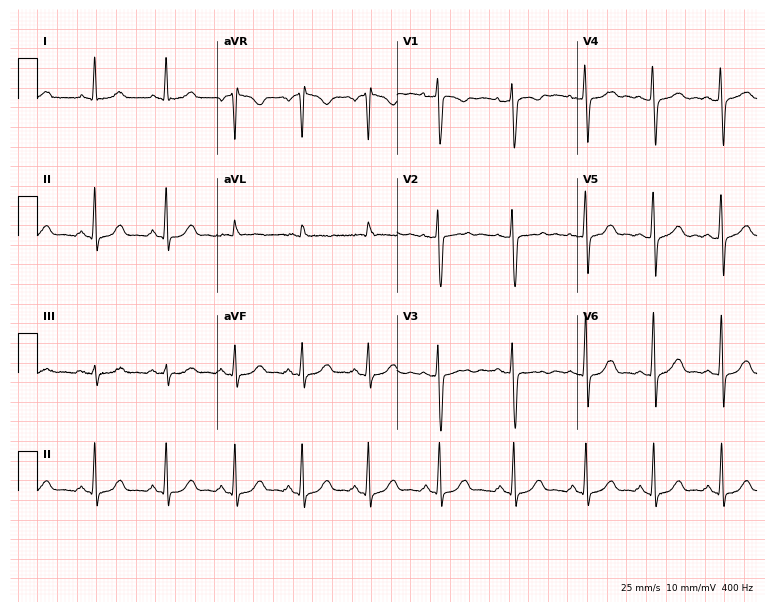
Resting 12-lead electrocardiogram (7.3-second recording at 400 Hz). Patient: a 32-year-old female. Read as a normal ECG.